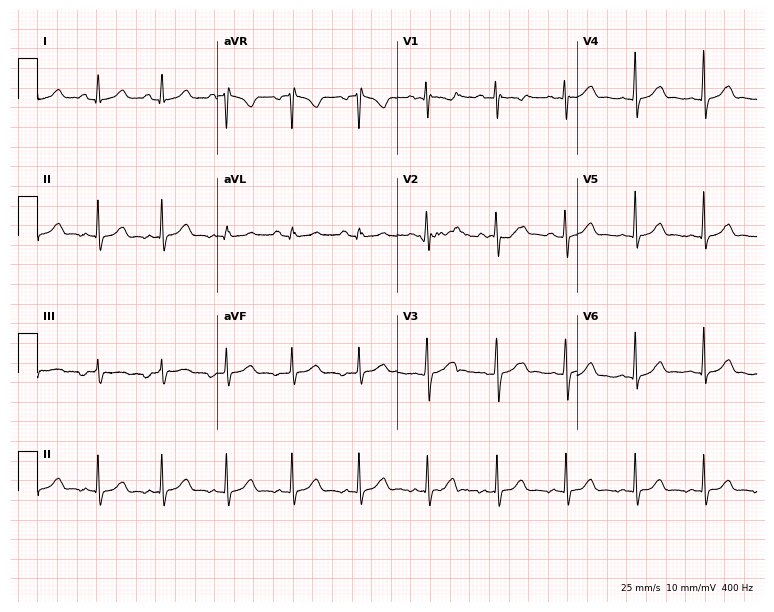
Standard 12-lead ECG recorded from a woman, 20 years old (7.3-second recording at 400 Hz). Read as a normal ECG.